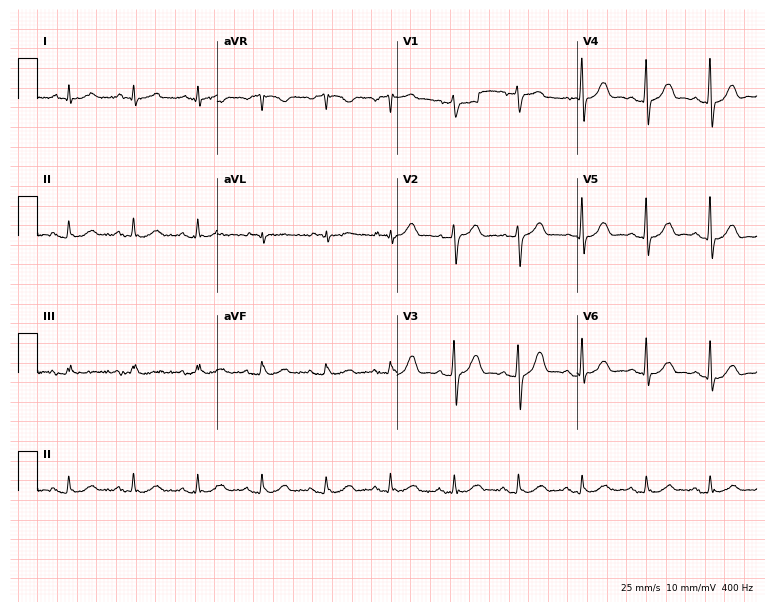
12-lead ECG from a male, 78 years old. Screened for six findings — first-degree AV block, right bundle branch block, left bundle branch block, sinus bradycardia, atrial fibrillation, sinus tachycardia — none is recorded.